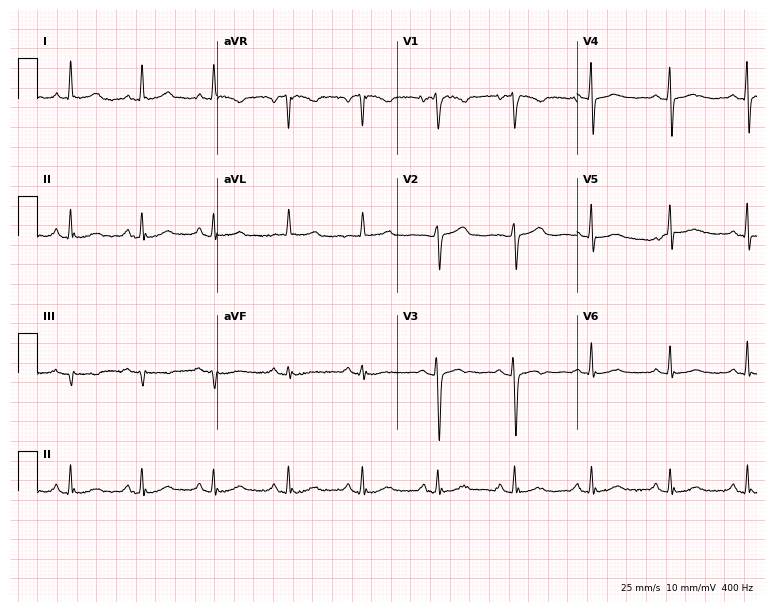
Electrocardiogram (7.3-second recording at 400 Hz), a 66-year-old female patient. Of the six screened findings (first-degree AV block, right bundle branch block, left bundle branch block, sinus bradycardia, atrial fibrillation, sinus tachycardia), none is recorded.